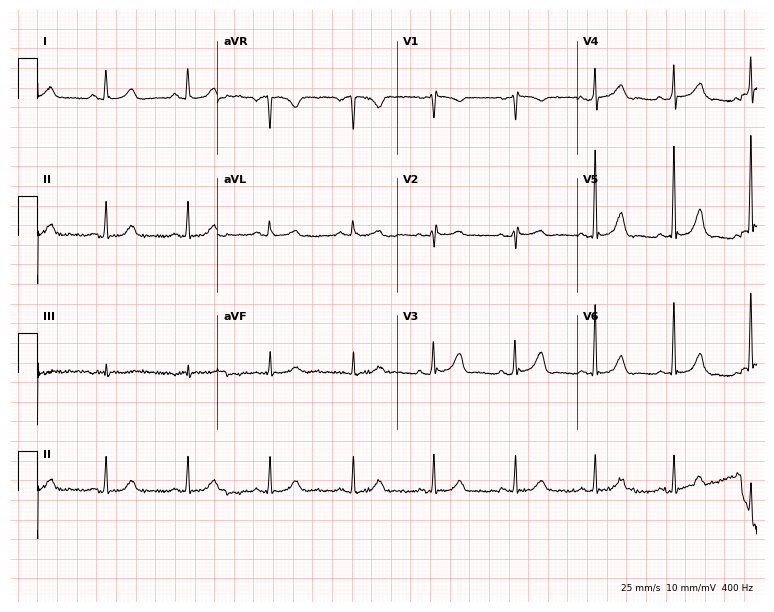
Resting 12-lead electrocardiogram. Patient: a female, 74 years old. Read as a normal ECG.